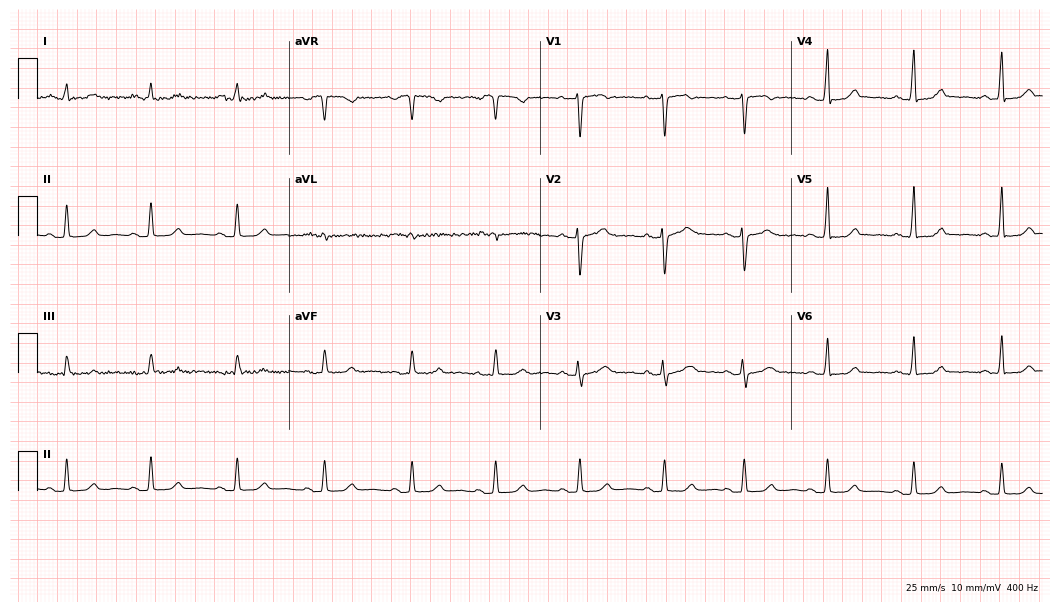
ECG (10.2-second recording at 400 Hz) — a 40-year-old female patient. Screened for six findings — first-degree AV block, right bundle branch block, left bundle branch block, sinus bradycardia, atrial fibrillation, sinus tachycardia — none is recorded. Other findings, if any, are not listed.